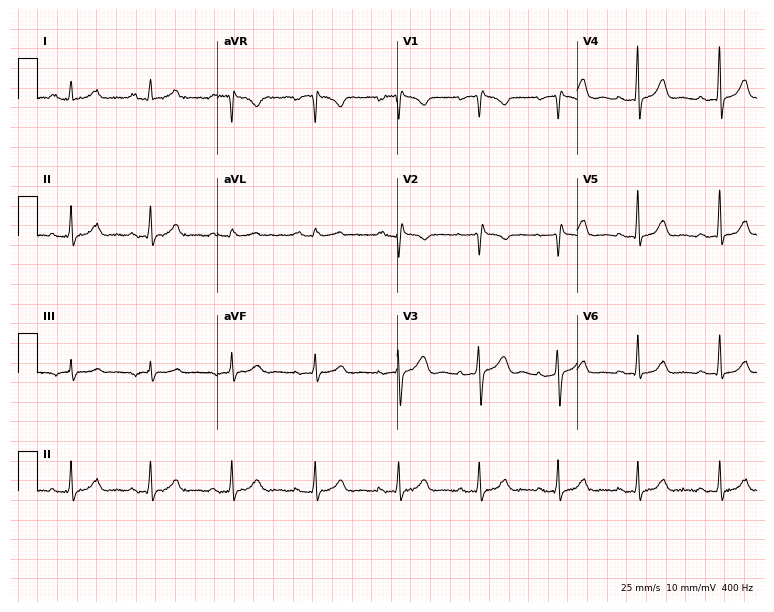
Resting 12-lead electrocardiogram. Patient: a female, 47 years old. None of these six findings is recorded: first-degree AV block, right bundle branch block, left bundle branch block, sinus bradycardia, atrial fibrillation, sinus tachycardia. Other findings, if any, are not listed.